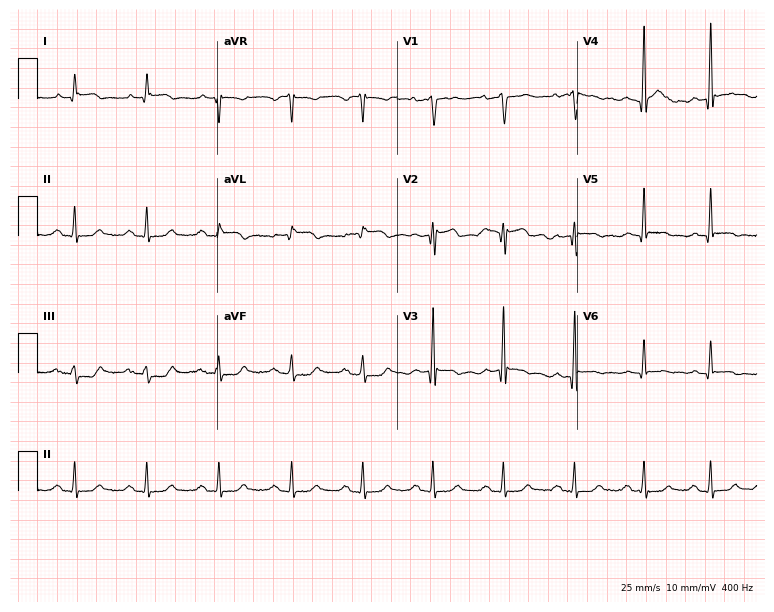
12-lead ECG from a 78-year-old male patient (7.3-second recording at 400 Hz). No first-degree AV block, right bundle branch block, left bundle branch block, sinus bradycardia, atrial fibrillation or sinus tachycardia recorded for this tracing.